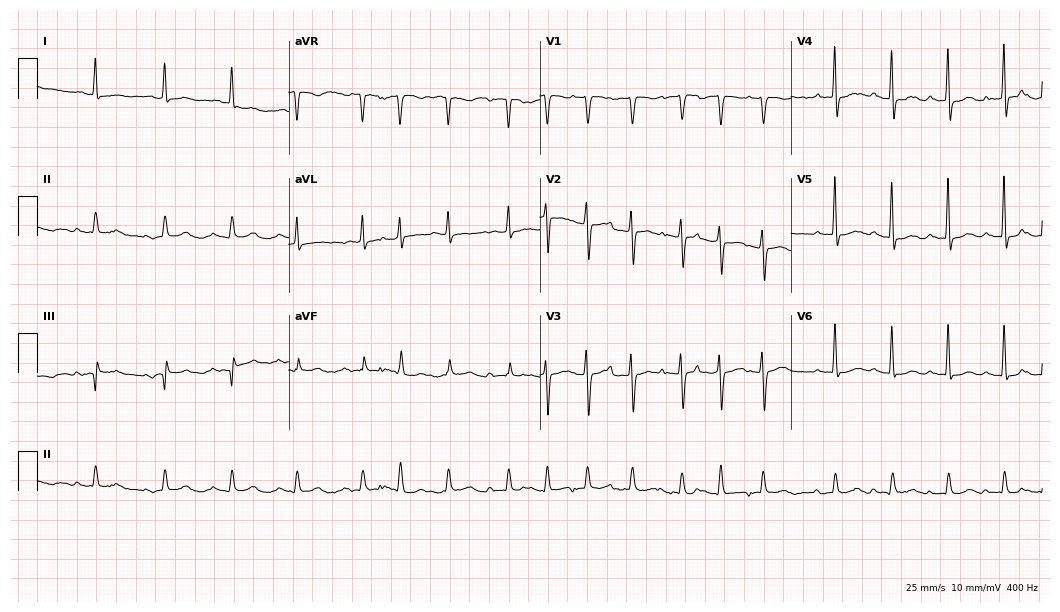
Resting 12-lead electrocardiogram. Patient: a female, 75 years old. None of these six findings is recorded: first-degree AV block, right bundle branch block, left bundle branch block, sinus bradycardia, atrial fibrillation, sinus tachycardia.